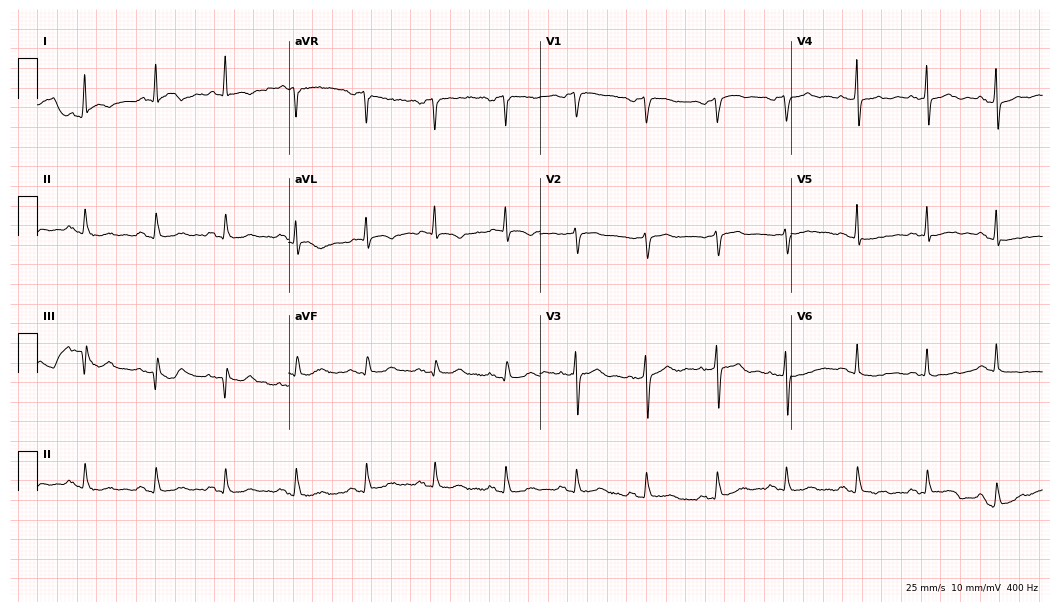
Resting 12-lead electrocardiogram (10.2-second recording at 400 Hz). Patient: an 84-year-old woman. None of these six findings is recorded: first-degree AV block, right bundle branch block, left bundle branch block, sinus bradycardia, atrial fibrillation, sinus tachycardia.